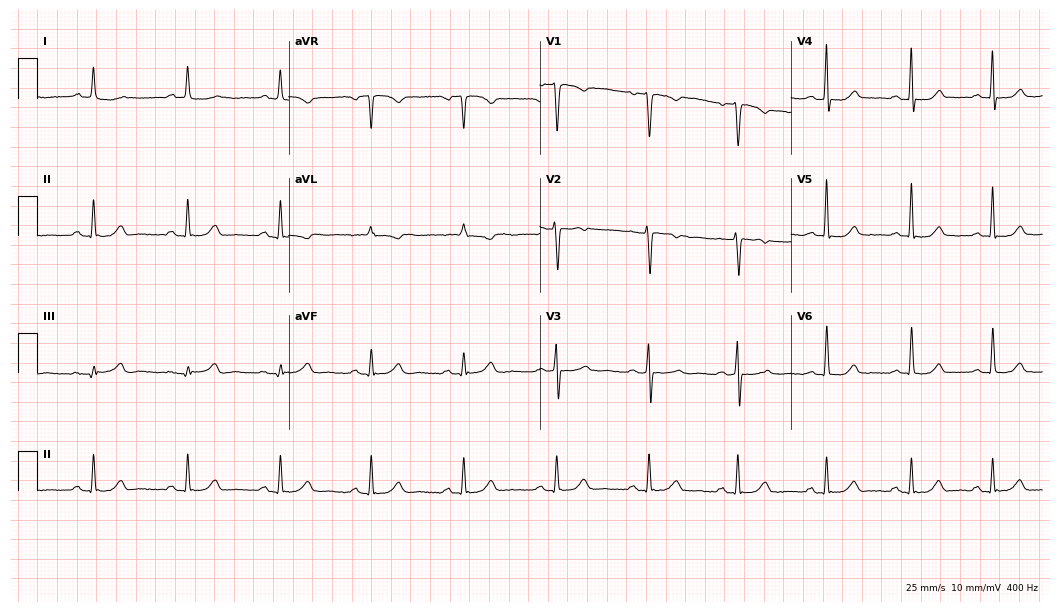
Standard 12-lead ECG recorded from a female, 52 years old (10.2-second recording at 400 Hz). Read as a normal ECG.